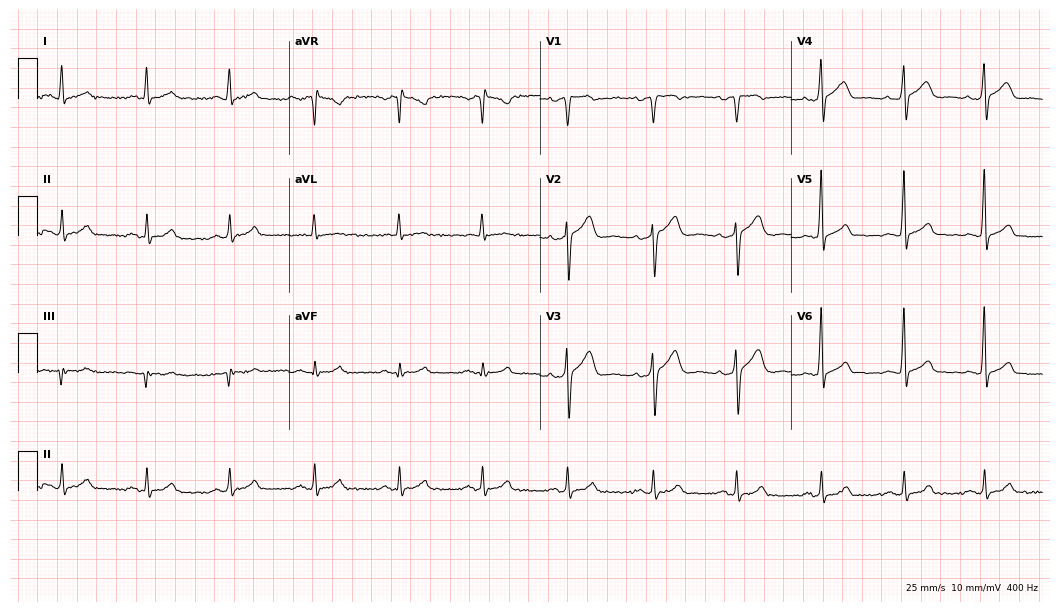
12-lead ECG from a male, 43 years old (10.2-second recording at 400 Hz). Recorded interpretation: within normal limits.